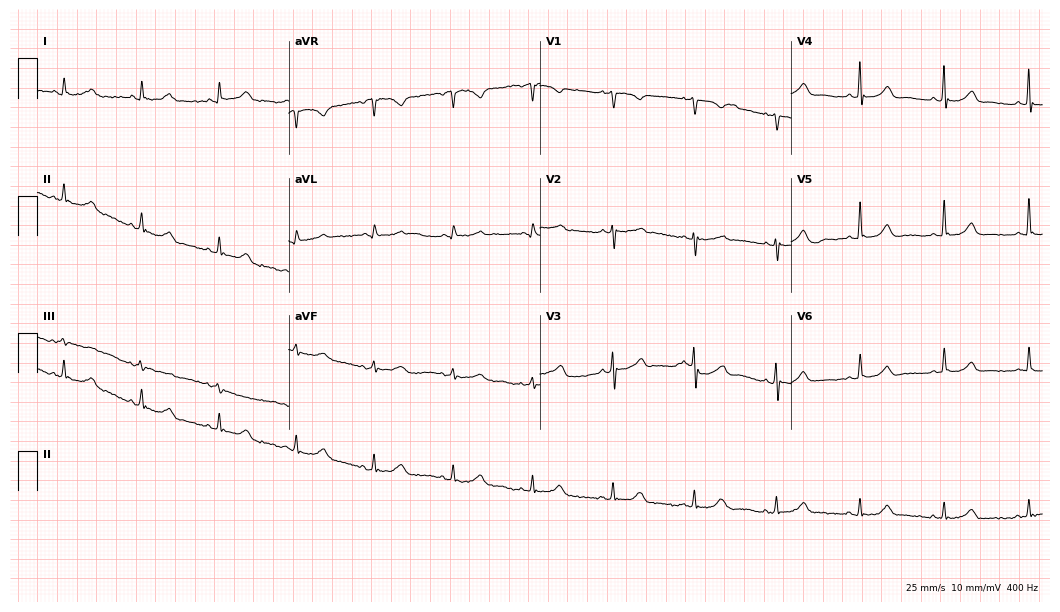
Electrocardiogram, a 77-year-old male. Overall reading on record: normal ECG.